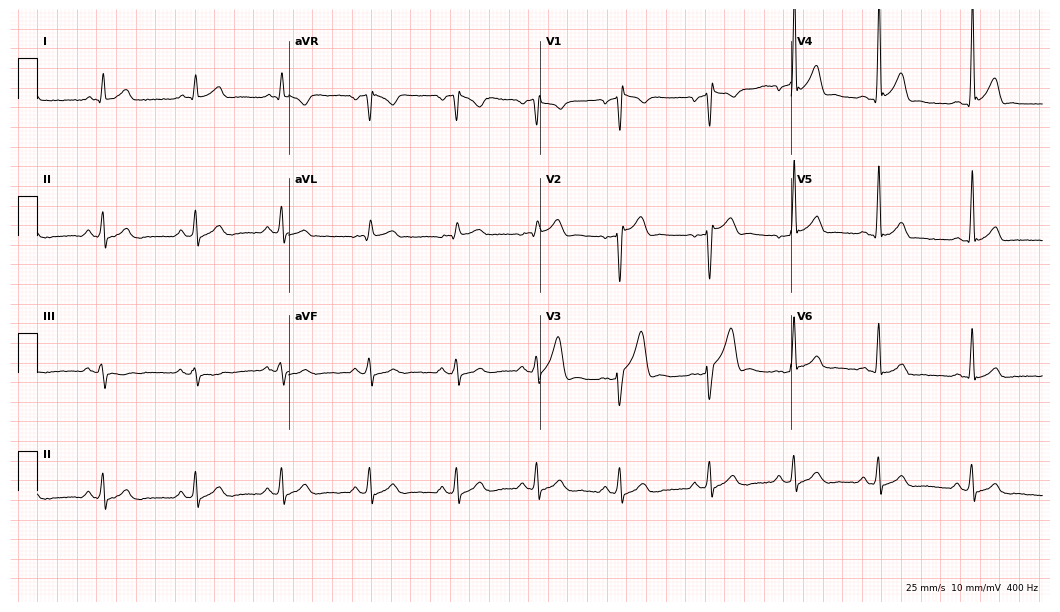
ECG — a male, 28 years old. Screened for six findings — first-degree AV block, right bundle branch block (RBBB), left bundle branch block (LBBB), sinus bradycardia, atrial fibrillation (AF), sinus tachycardia — none is recorded. Only these six findings were labelled.